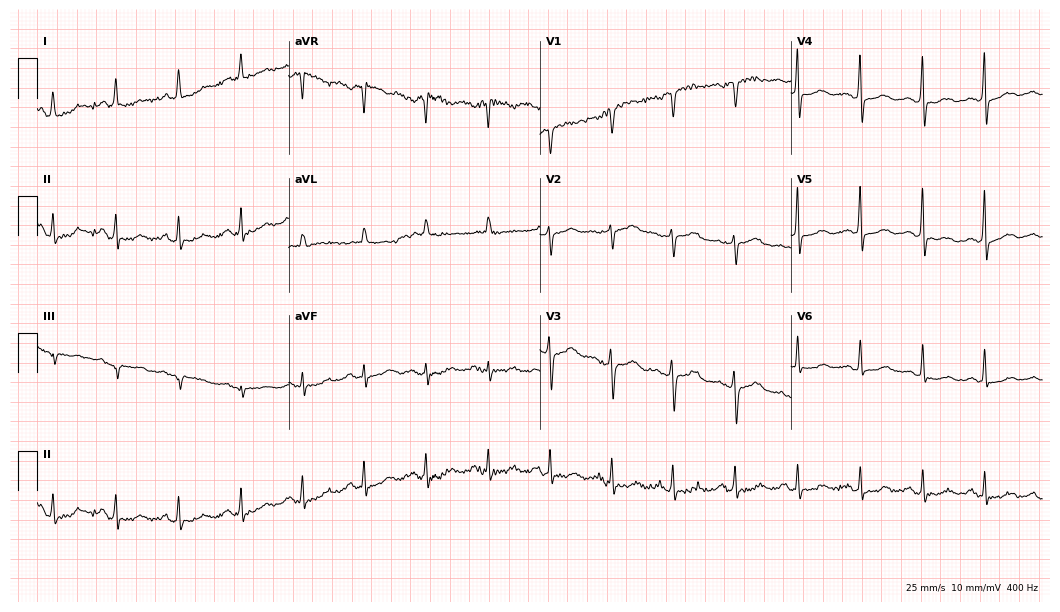
12-lead ECG (10.2-second recording at 400 Hz) from a 67-year-old woman. Labelled as a normal ECG.